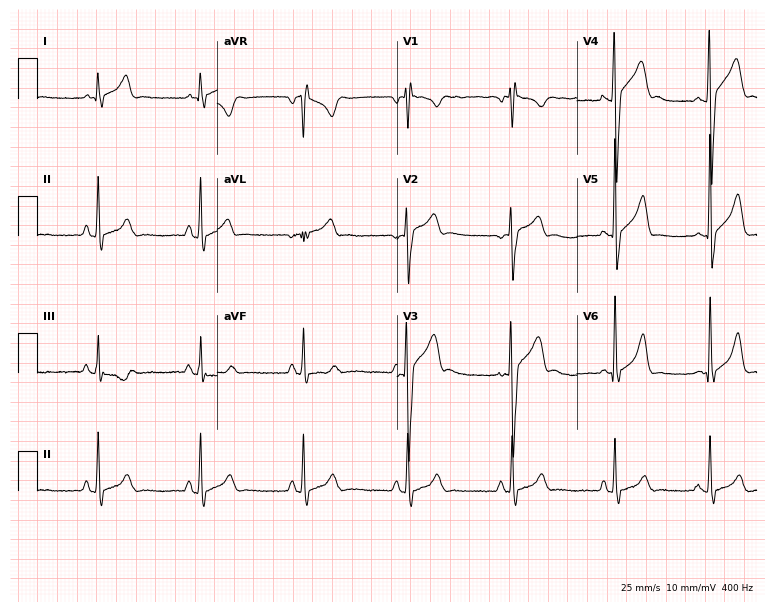
12-lead ECG from a male patient, 18 years old (7.3-second recording at 400 Hz). No first-degree AV block, right bundle branch block, left bundle branch block, sinus bradycardia, atrial fibrillation or sinus tachycardia recorded for this tracing. Findings outside these six are not listed.